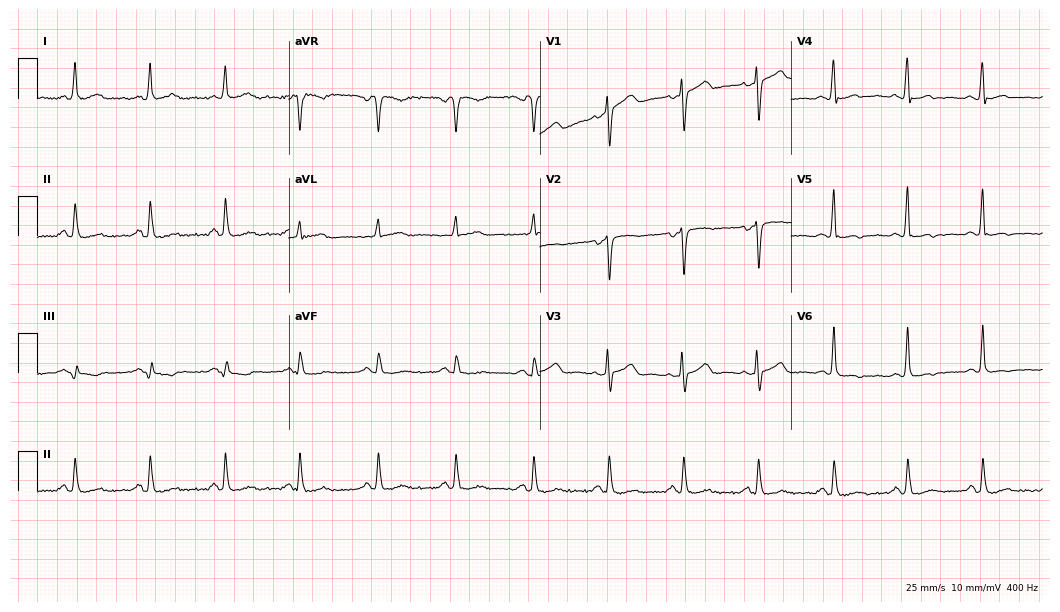
ECG — a female, 52 years old. Screened for six findings — first-degree AV block, right bundle branch block, left bundle branch block, sinus bradycardia, atrial fibrillation, sinus tachycardia — none is recorded. Findings outside these six are not listed.